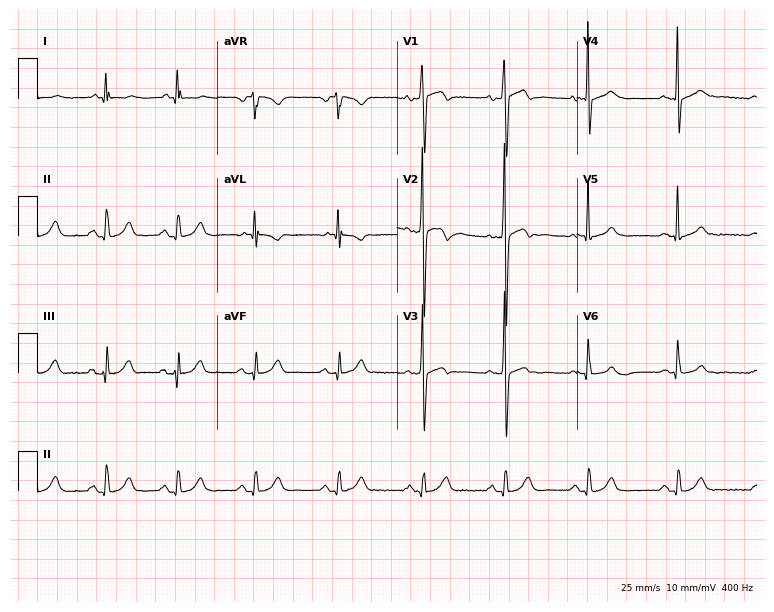
Resting 12-lead electrocardiogram. Patient: a male, 40 years old. Read as a normal ECG.